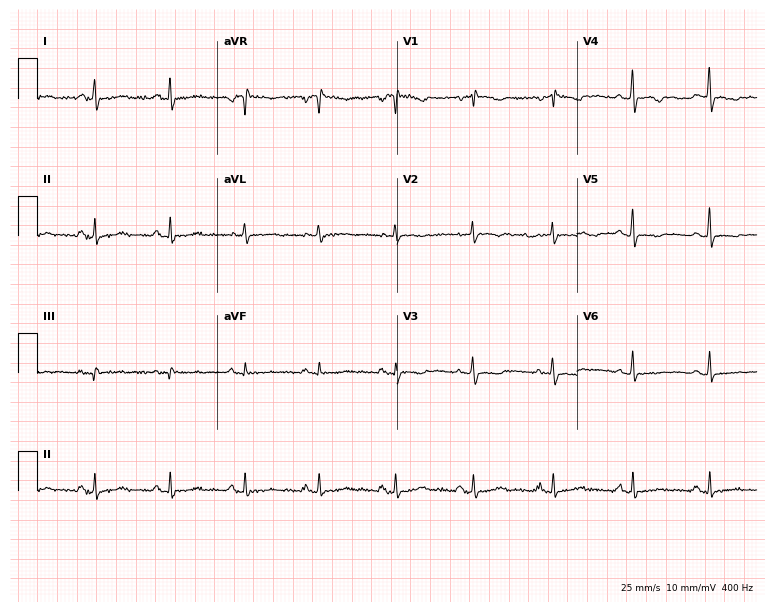
Electrocardiogram, a female patient, 70 years old. Of the six screened findings (first-degree AV block, right bundle branch block (RBBB), left bundle branch block (LBBB), sinus bradycardia, atrial fibrillation (AF), sinus tachycardia), none is recorded. Findings outside these six are not listed.